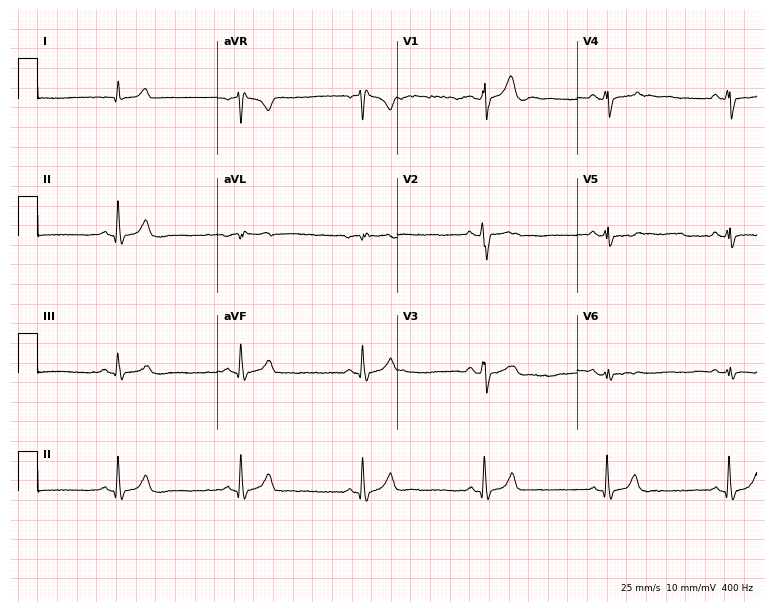
ECG (7.3-second recording at 400 Hz) — a 39-year-old male patient. Screened for six findings — first-degree AV block, right bundle branch block (RBBB), left bundle branch block (LBBB), sinus bradycardia, atrial fibrillation (AF), sinus tachycardia — none is recorded.